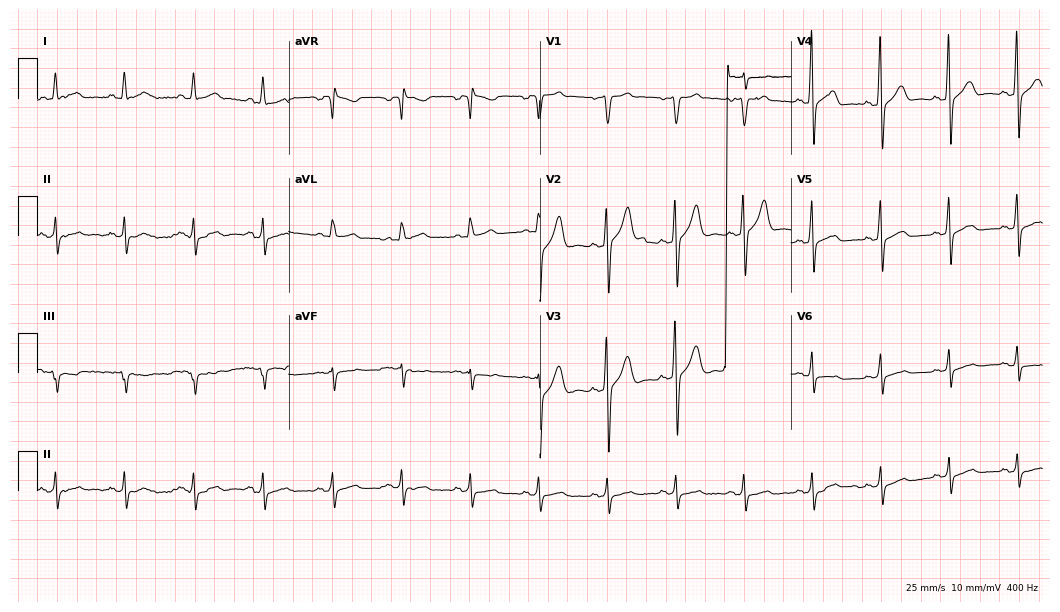
ECG — a 61-year-old man. Screened for six findings — first-degree AV block, right bundle branch block (RBBB), left bundle branch block (LBBB), sinus bradycardia, atrial fibrillation (AF), sinus tachycardia — none is recorded. Other findings, if any, are not listed.